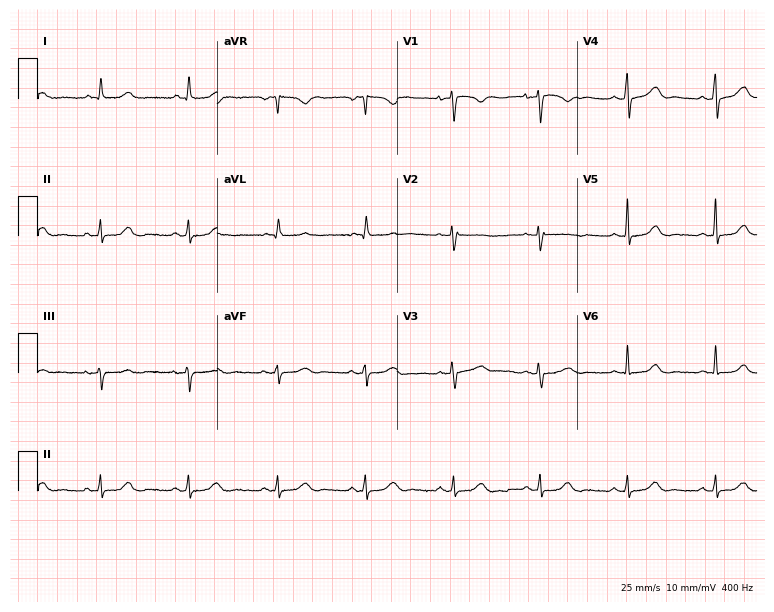
12-lead ECG from a female, 61 years old (7.3-second recording at 400 Hz). Recorded interpretation: within normal limits.